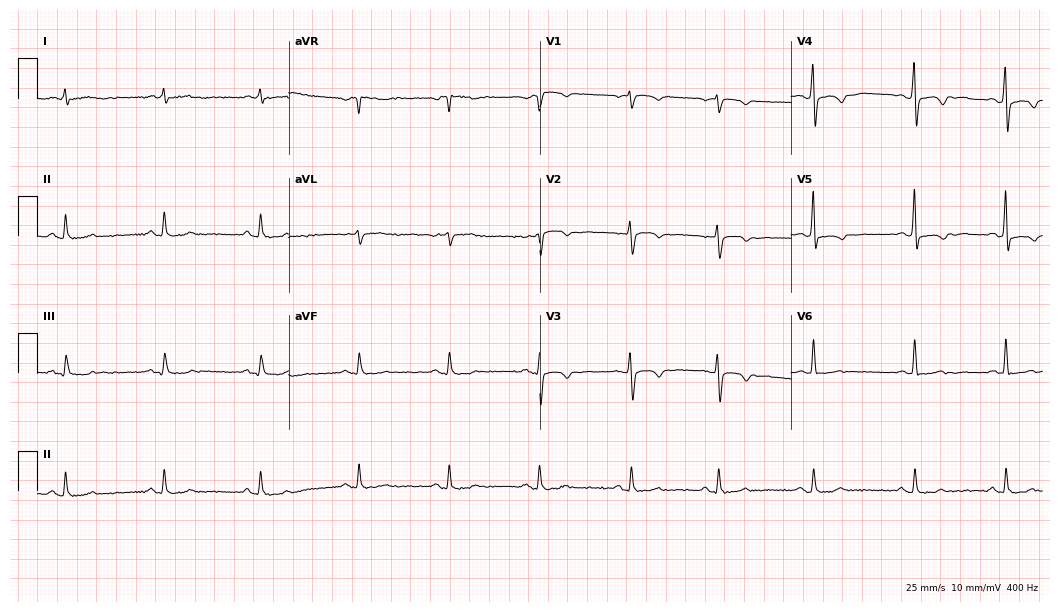
ECG (10.2-second recording at 400 Hz) — a 52-year-old female. Screened for six findings — first-degree AV block, right bundle branch block, left bundle branch block, sinus bradycardia, atrial fibrillation, sinus tachycardia — none is recorded.